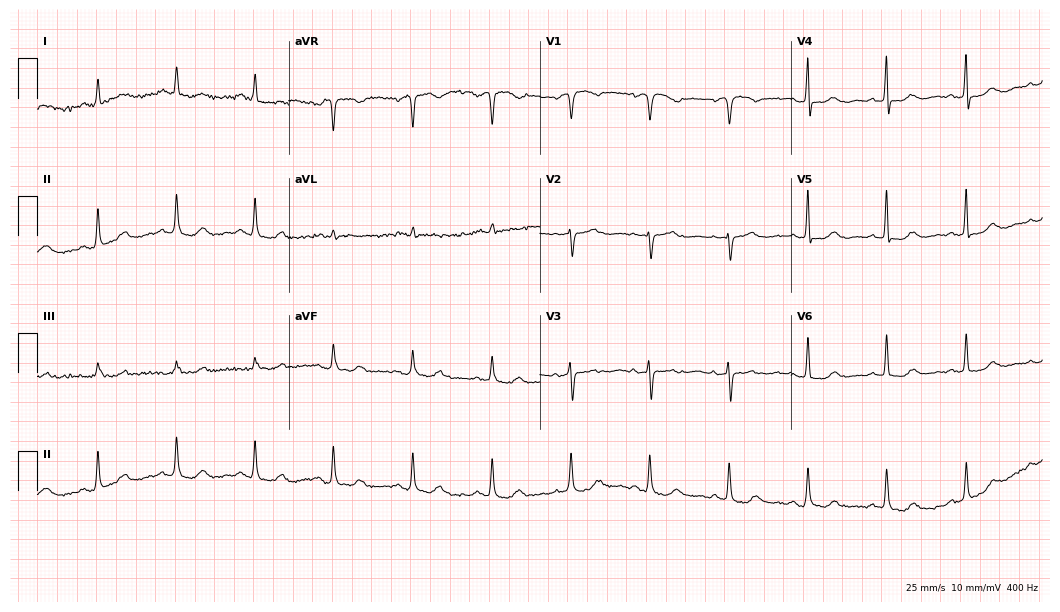
Resting 12-lead electrocardiogram. Patient: a 73-year-old woman. Read as a normal ECG.